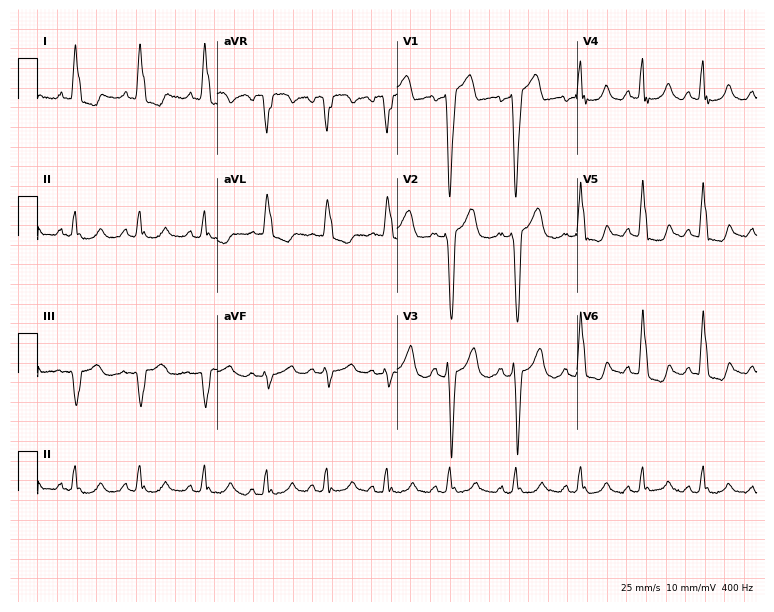
ECG — a 57-year-old woman. Screened for six findings — first-degree AV block, right bundle branch block (RBBB), left bundle branch block (LBBB), sinus bradycardia, atrial fibrillation (AF), sinus tachycardia — none is recorded.